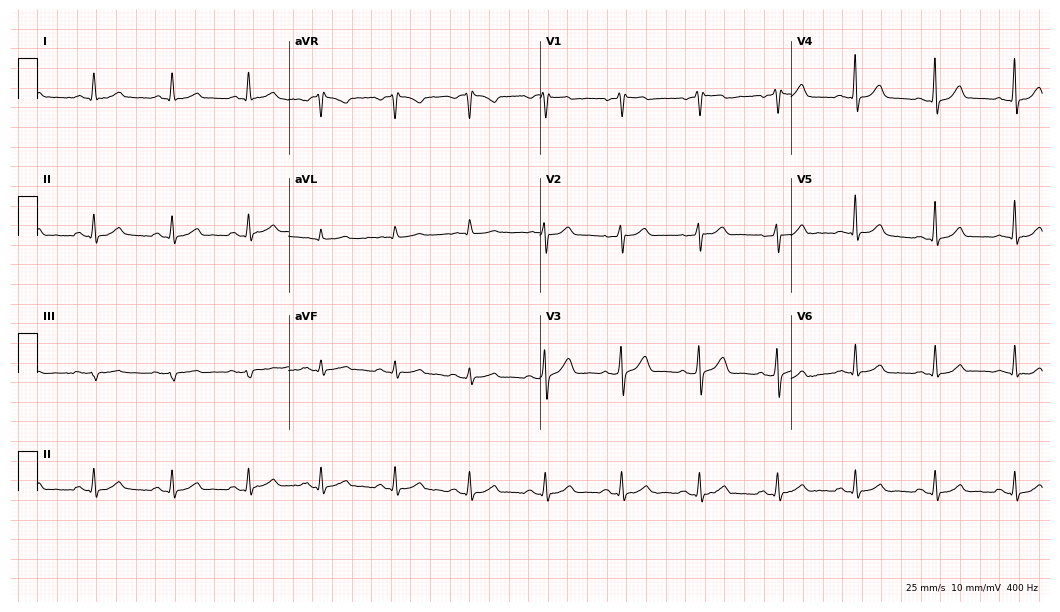
ECG (10.2-second recording at 400 Hz) — a male, 53 years old. Labelled as a normal ECG.